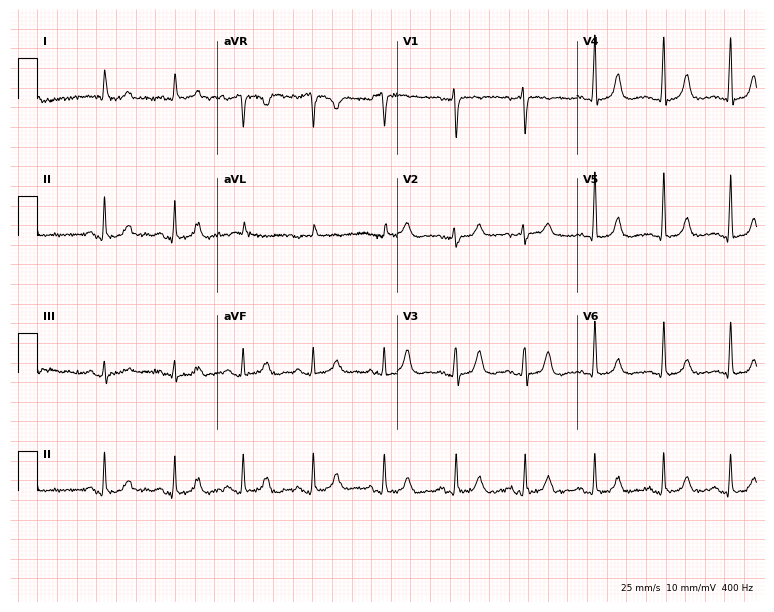
12-lead ECG (7.3-second recording at 400 Hz) from a 72-year-old female patient. Screened for six findings — first-degree AV block, right bundle branch block (RBBB), left bundle branch block (LBBB), sinus bradycardia, atrial fibrillation (AF), sinus tachycardia — none is recorded. Other findings, if any, are not listed.